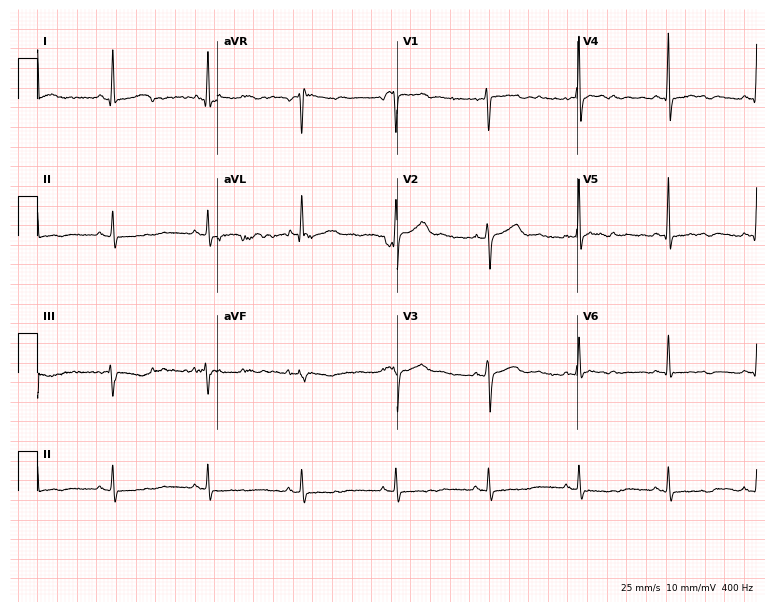
12-lead ECG from a 58-year-old woman. Screened for six findings — first-degree AV block, right bundle branch block, left bundle branch block, sinus bradycardia, atrial fibrillation, sinus tachycardia — none is recorded.